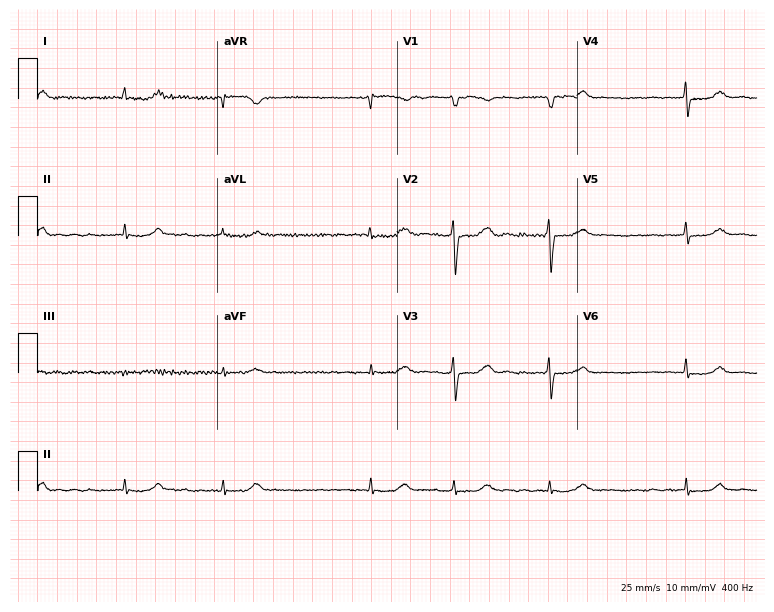
Electrocardiogram (7.3-second recording at 400 Hz), a woman, 74 years old. Interpretation includes first-degree AV block.